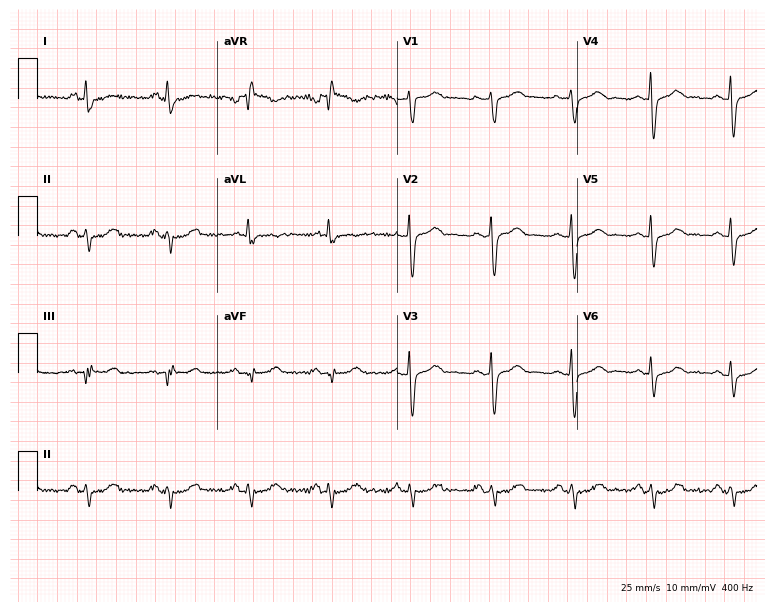
12-lead ECG from a female, 56 years old. Screened for six findings — first-degree AV block, right bundle branch block, left bundle branch block, sinus bradycardia, atrial fibrillation, sinus tachycardia — none is recorded.